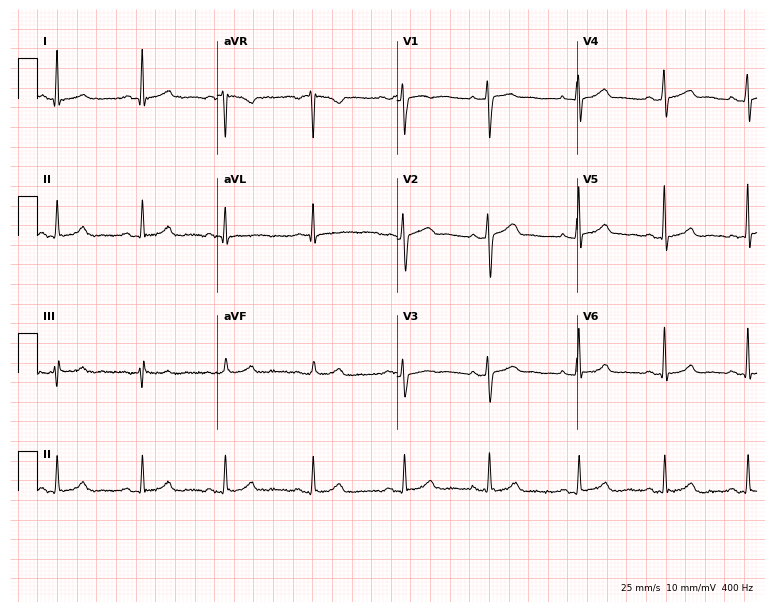
ECG (7.3-second recording at 400 Hz) — a 37-year-old female. Labelled as a normal ECG.